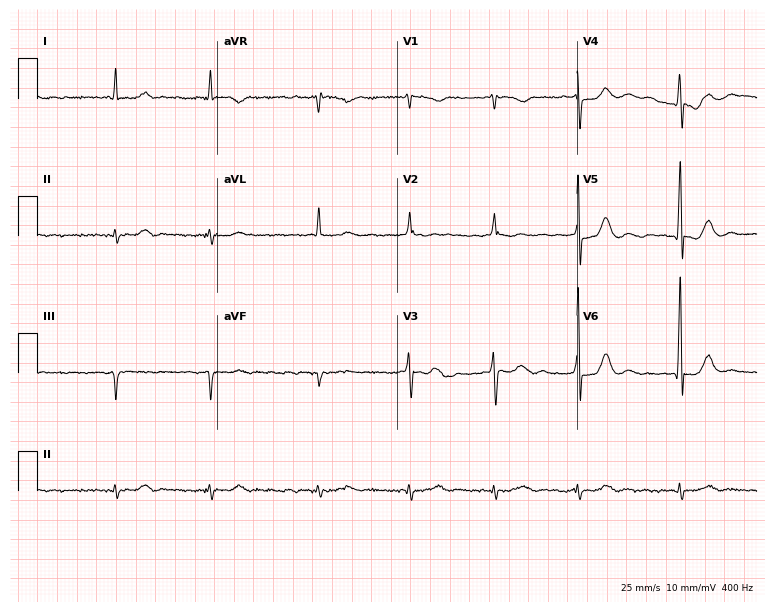
Electrocardiogram (7.3-second recording at 400 Hz), a male patient, 77 years old. Of the six screened findings (first-degree AV block, right bundle branch block, left bundle branch block, sinus bradycardia, atrial fibrillation, sinus tachycardia), none is recorded. Findings outside these six are not listed.